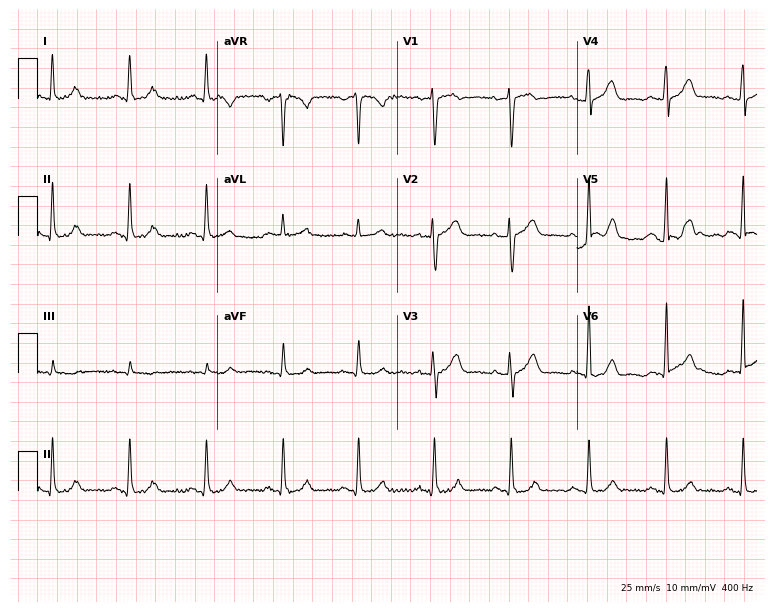
12-lead ECG (7.3-second recording at 400 Hz) from a female patient, 64 years old. Labelled as a normal ECG.